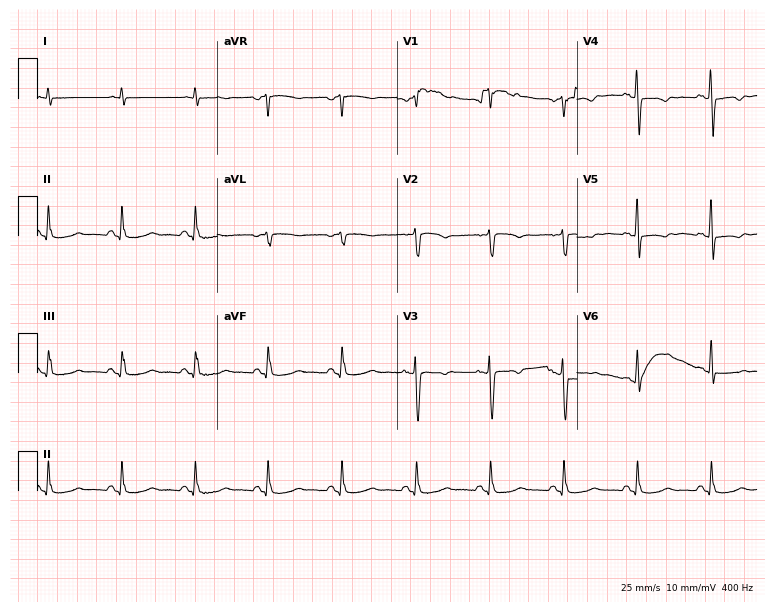
ECG (7.3-second recording at 400 Hz) — a man, 61 years old. Screened for six findings — first-degree AV block, right bundle branch block, left bundle branch block, sinus bradycardia, atrial fibrillation, sinus tachycardia — none is recorded.